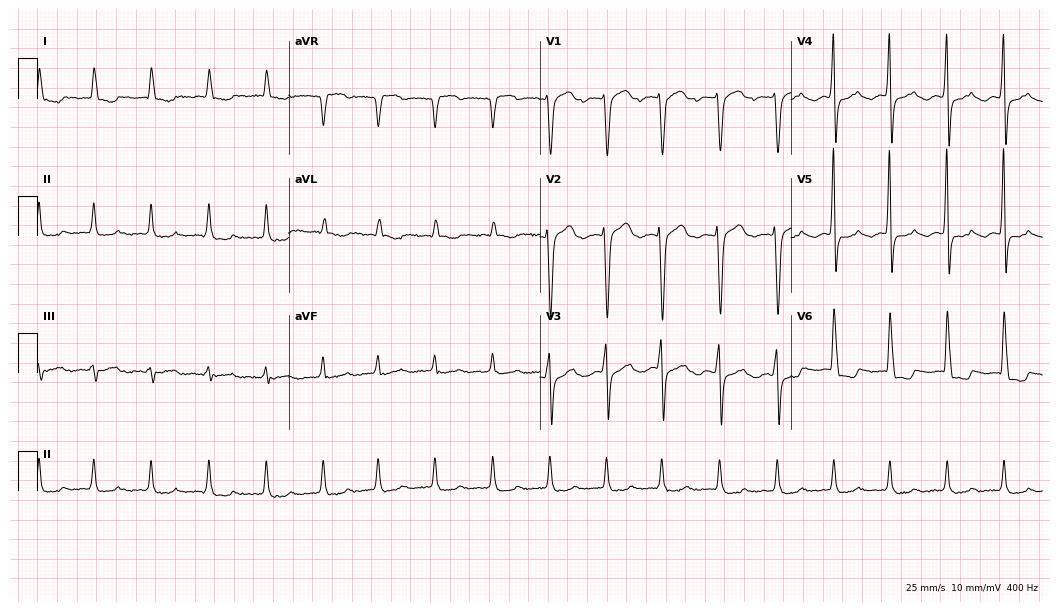
12-lead ECG from a 76-year-old female (10.2-second recording at 400 Hz). Shows sinus tachycardia (a sinus rate of 100 beats per minute or more).